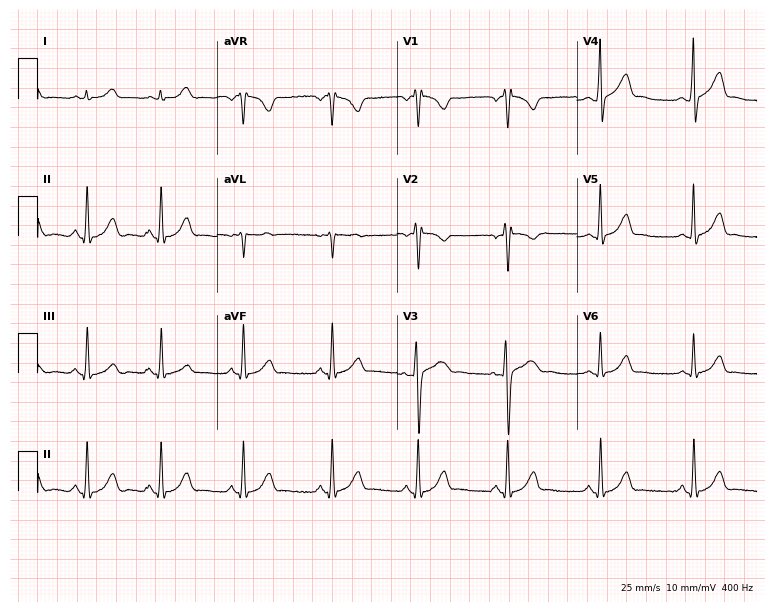
ECG — a female, 35 years old. Screened for six findings — first-degree AV block, right bundle branch block, left bundle branch block, sinus bradycardia, atrial fibrillation, sinus tachycardia — none is recorded. Other findings, if any, are not listed.